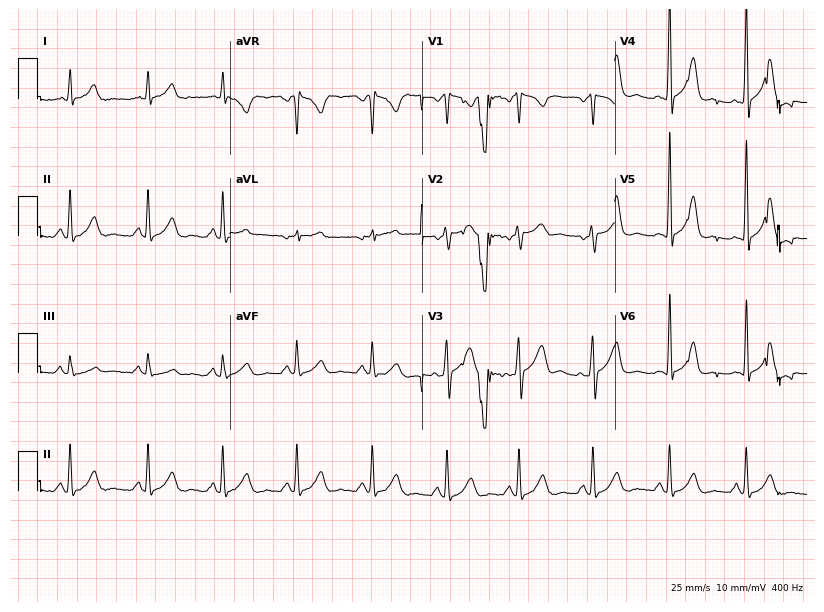
12-lead ECG from a 45-year-old male. Screened for six findings — first-degree AV block, right bundle branch block, left bundle branch block, sinus bradycardia, atrial fibrillation, sinus tachycardia — none is recorded. Other findings, if any, are not listed.